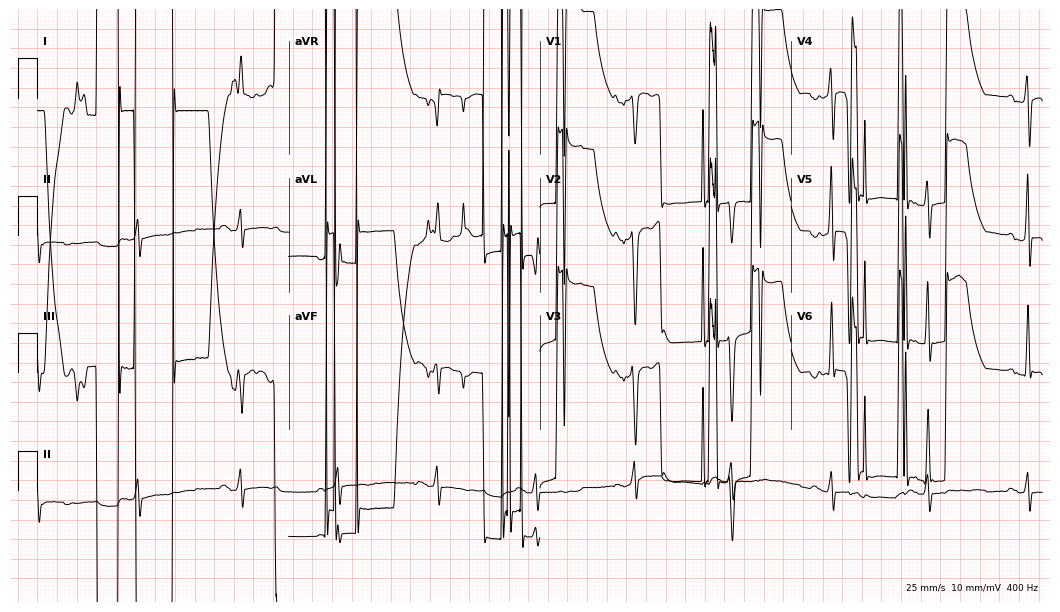
Resting 12-lead electrocardiogram (10.2-second recording at 400 Hz). Patient: a 58-year-old man. None of these six findings is recorded: first-degree AV block, right bundle branch block, left bundle branch block, sinus bradycardia, atrial fibrillation, sinus tachycardia.